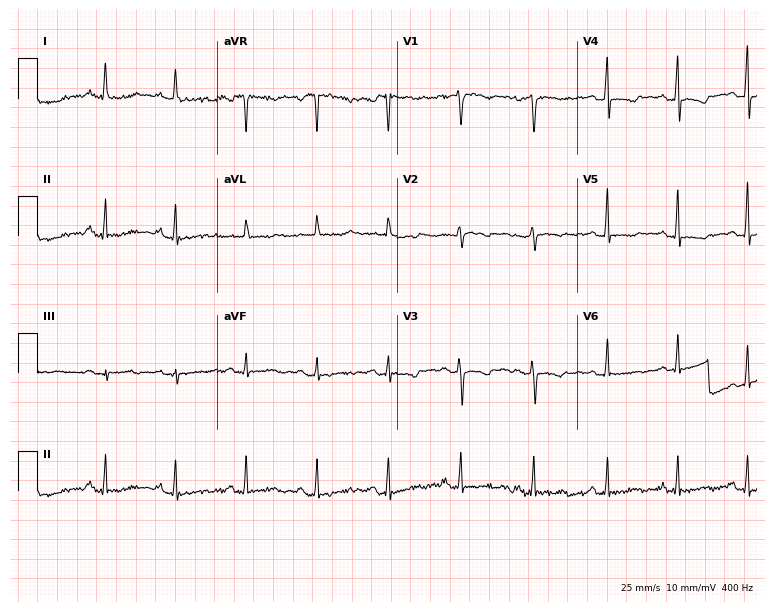
Electrocardiogram, a woman, 48 years old. Of the six screened findings (first-degree AV block, right bundle branch block, left bundle branch block, sinus bradycardia, atrial fibrillation, sinus tachycardia), none is recorded.